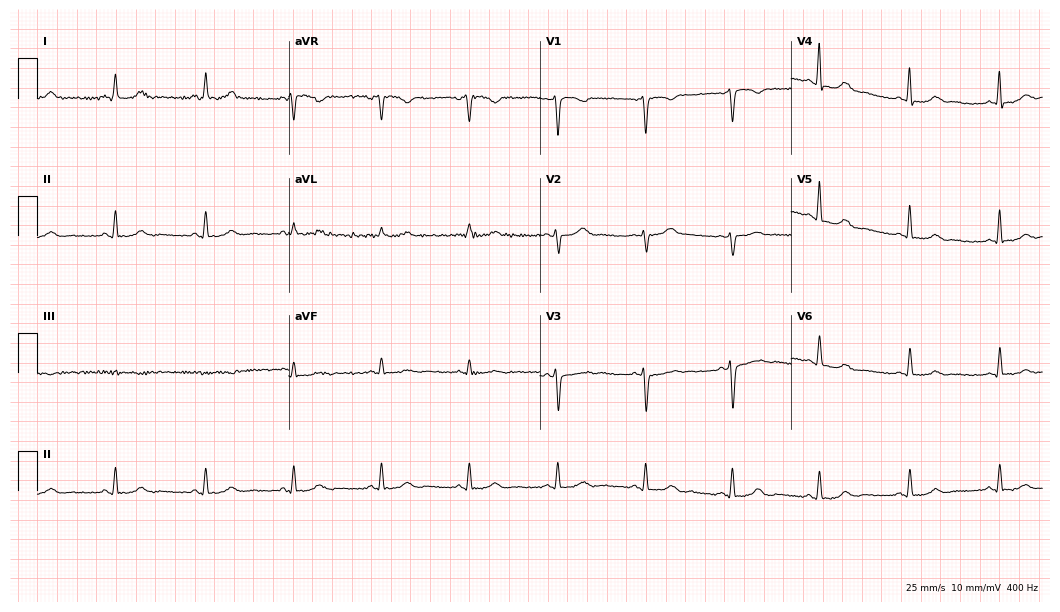
12-lead ECG from a 43-year-old female patient (10.2-second recording at 400 Hz). Recorded interpretation: within normal limits.